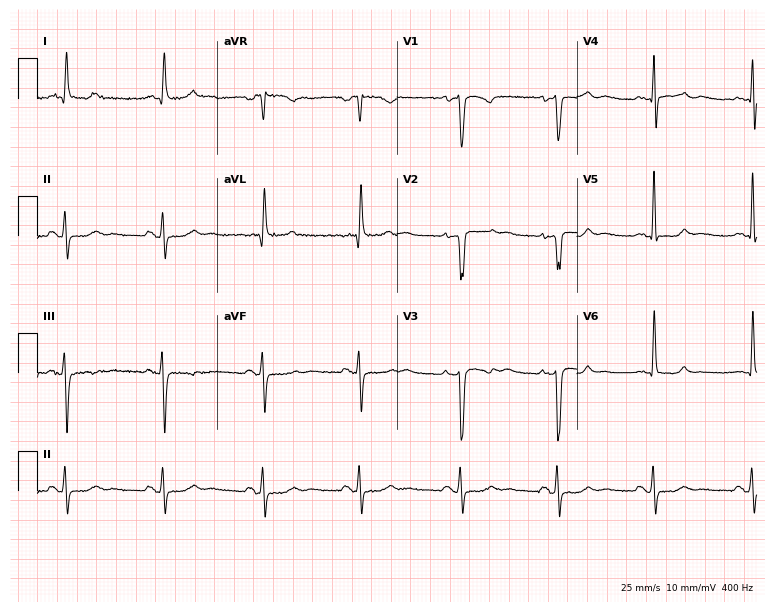
Resting 12-lead electrocardiogram. Patient: a 62-year-old female. None of these six findings is recorded: first-degree AV block, right bundle branch block, left bundle branch block, sinus bradycardia, atrial fibrillation, sinus tachycardia. Findings outside these six are not listed.